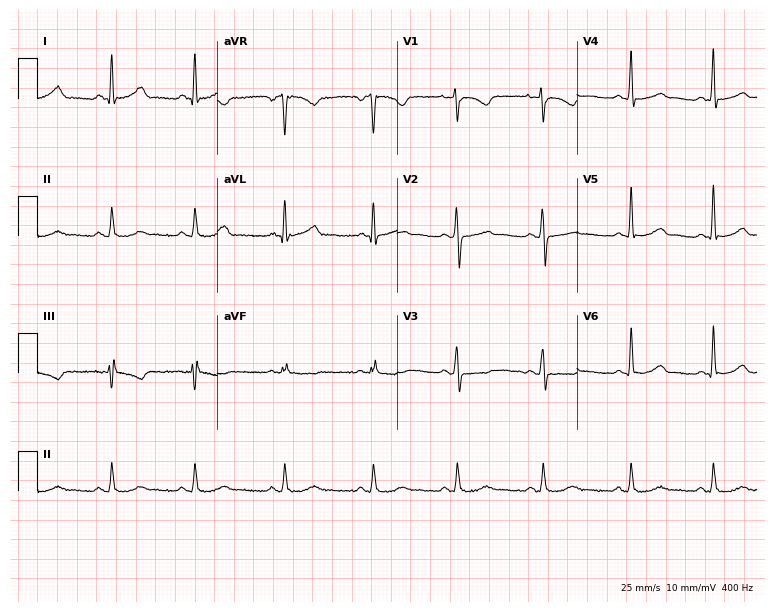
12-lead ECG from a female patient, 41 years old (7.3-second recording at 400 Hz). No first-degree AV block, right bundle branch block, left bundle branch block, sinus bradycardia, atrial fibrillation or sinus tachycardia recorded for this tracing.